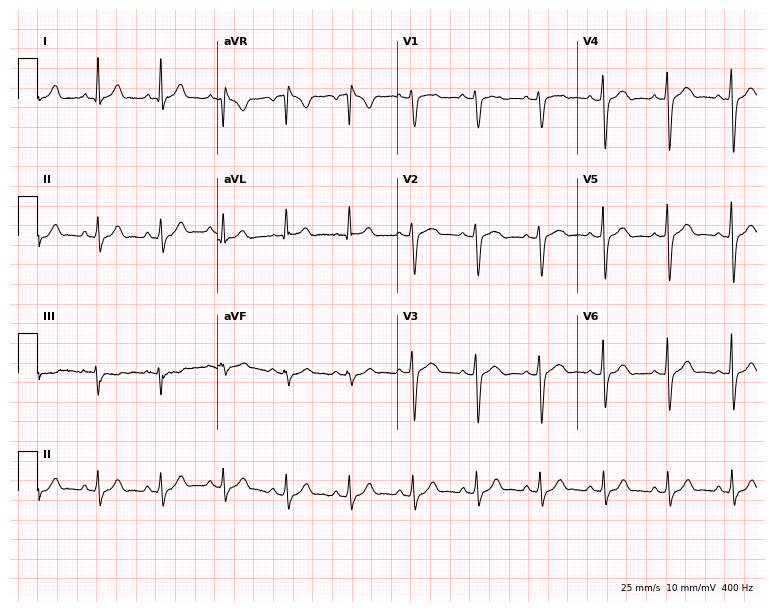
12-lead ECG from a male patient, 27 years old. Recorded interpretation: within normal limits.